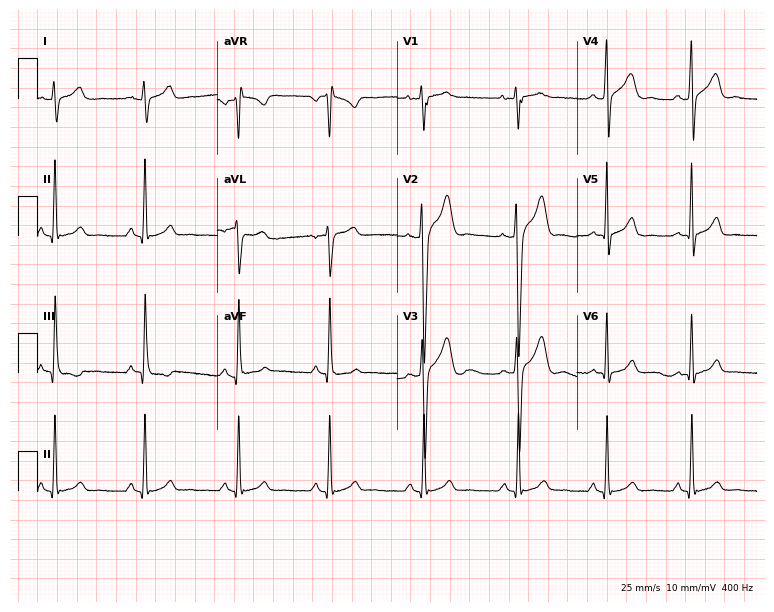
12-lead ECG from a male, 24 years old. No first-degree AV block, right bundle branch block, left bundle branch block, sinus bradycardia, atrial fibrillation or sinus tachycardia recorded for this tracing. Only these six findings were labelled.